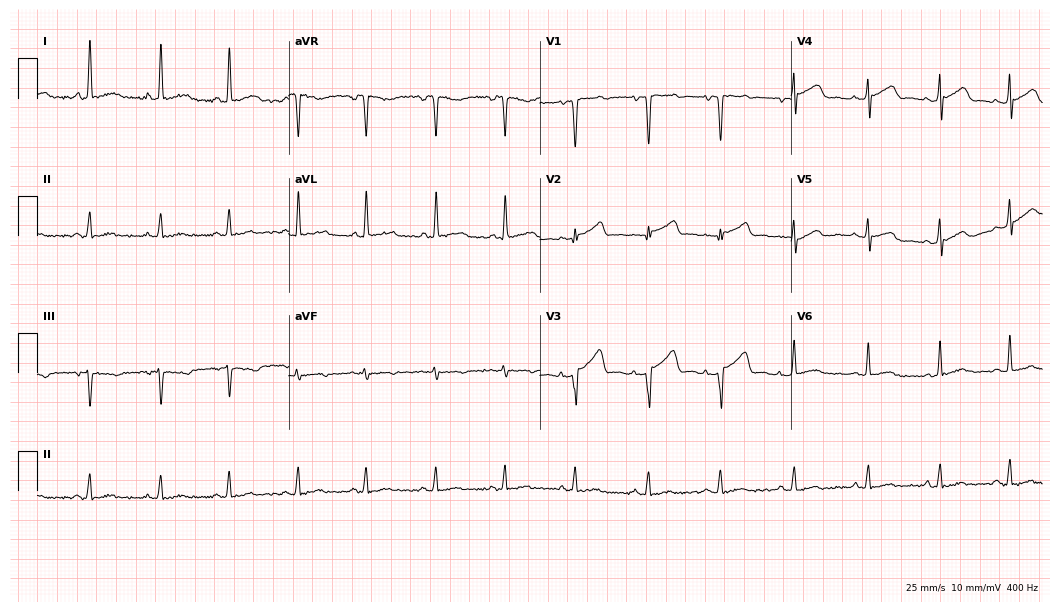
Standard 12-lead ECG recorded from a female, 38 years old (10.2-second recording at 400 Hz). None of these six findings is recorded: first-degree AV block, right bundle branch block, left bundle branch block, sinus bradycardia, atrial fibrillation, sinus tachycardia. Other findings, if any, are not listed.